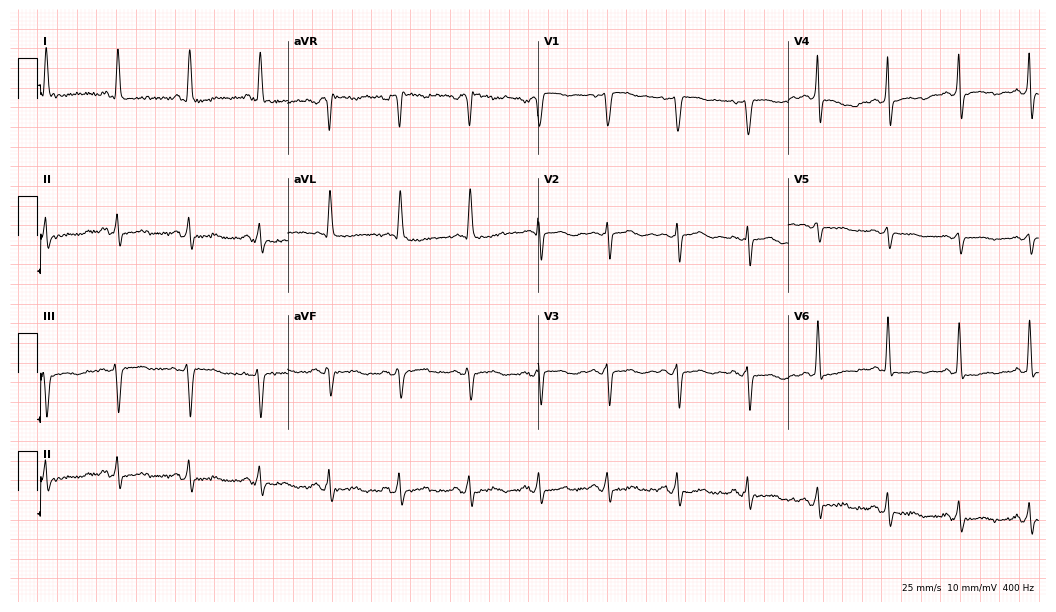
12-lead ECG from a 75-year-old woman (10.2-second recording at 400 Hz). No first-degree AV block, right bundle branch block, left bundle branch block, sinus bradycardia, atrial fibrillation or sinus tachycardia recorded for this tracing.